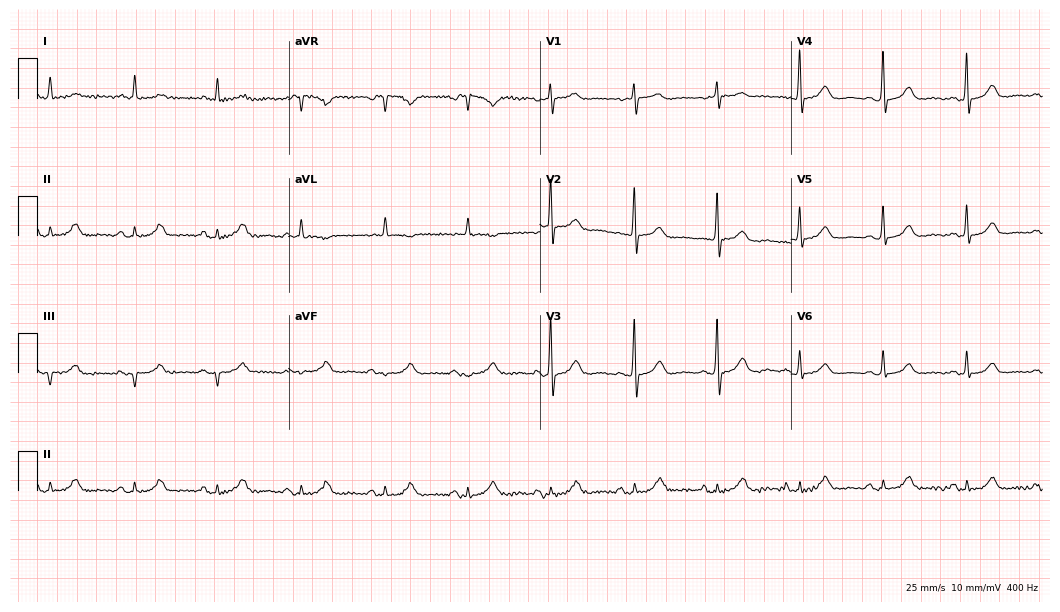
12-lead ECG from a 71-year-old male patient (10.2-second recording at 400 Hz). Recorded interpretation: within normal limits.